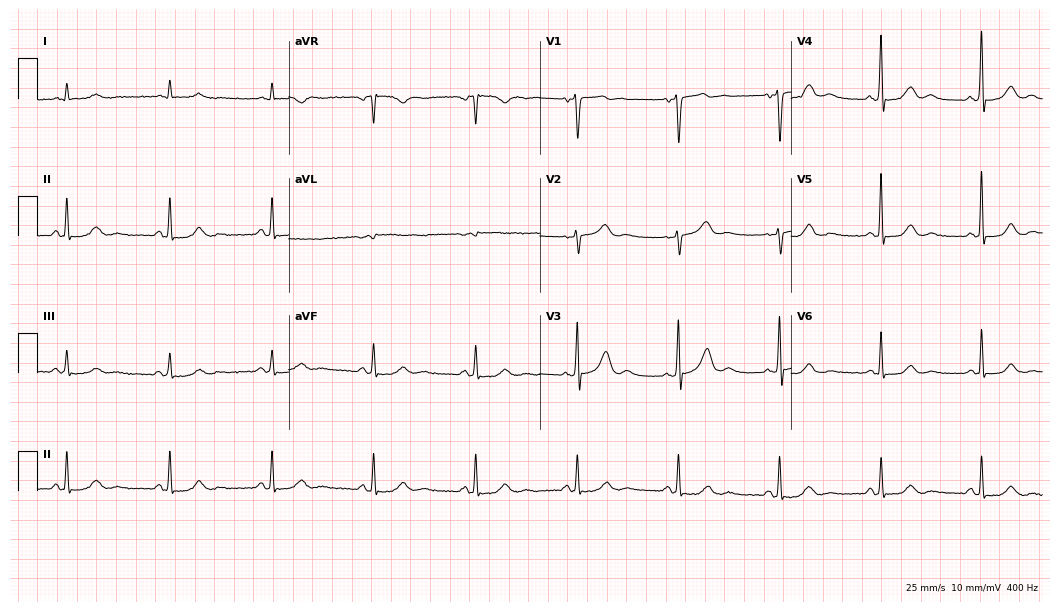
12-lead ECG (10.2-second recording at 400 Hz) from a 61-year-old male. Labelled as a normal ECG.